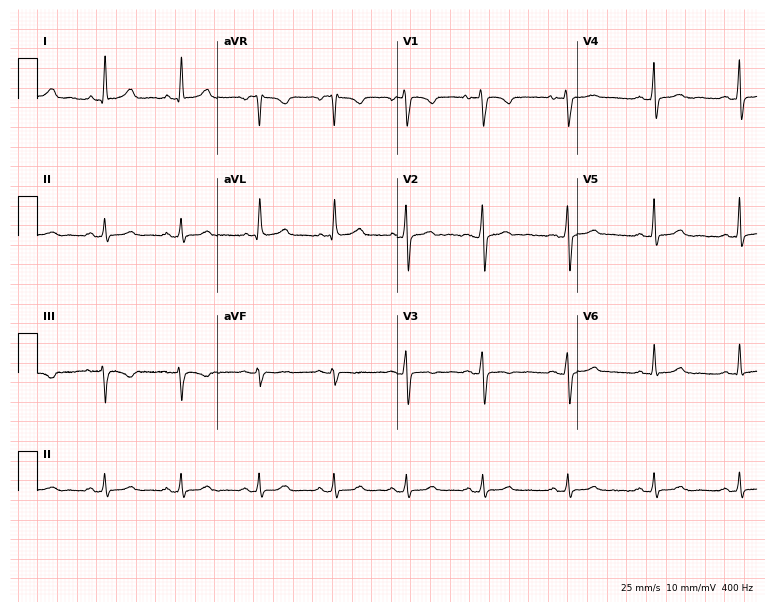
Resting 12-lead electrocardiogram (7.3-second recording at 400 Hz). Patient: a 56-year-old female. Read as a normal ECG.